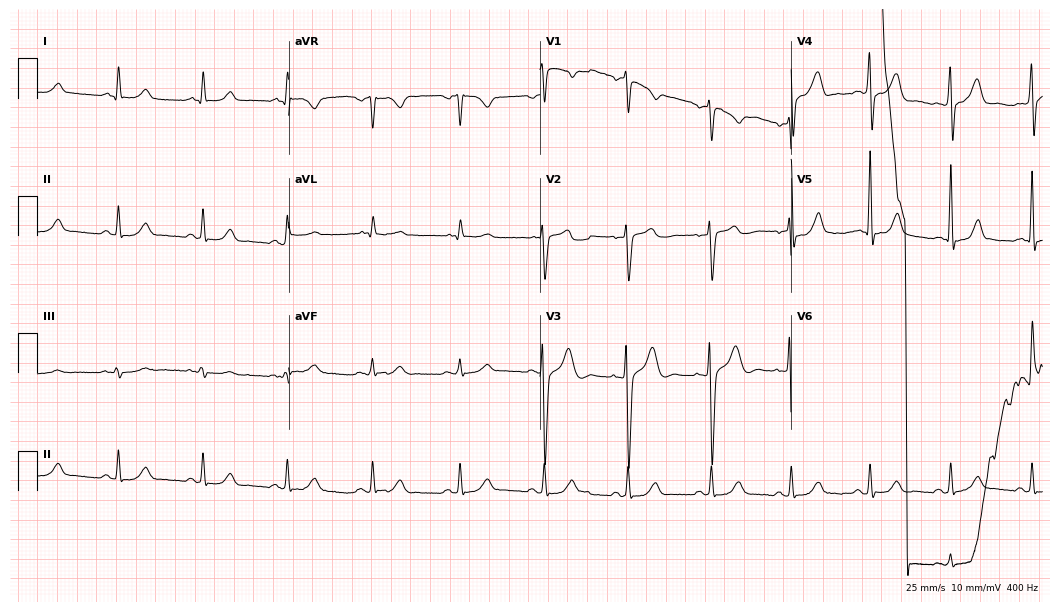
12-lead ECG from a man, 59 years old (10.2-second recording at 400 Hz). Recorded interpretation: within normal limits.